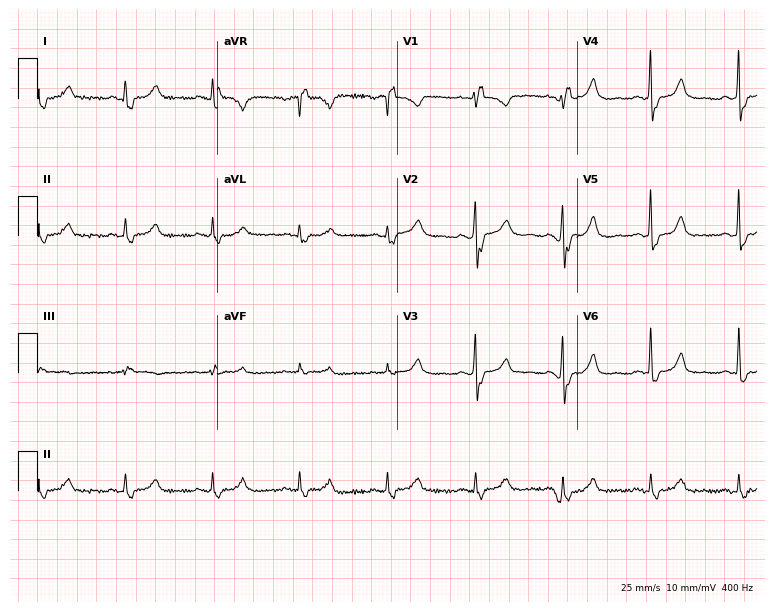
12-lead ECG (7.3-second recording at 400 Hz) from a female patient, 48 years old. Findings include right bundle branch block.